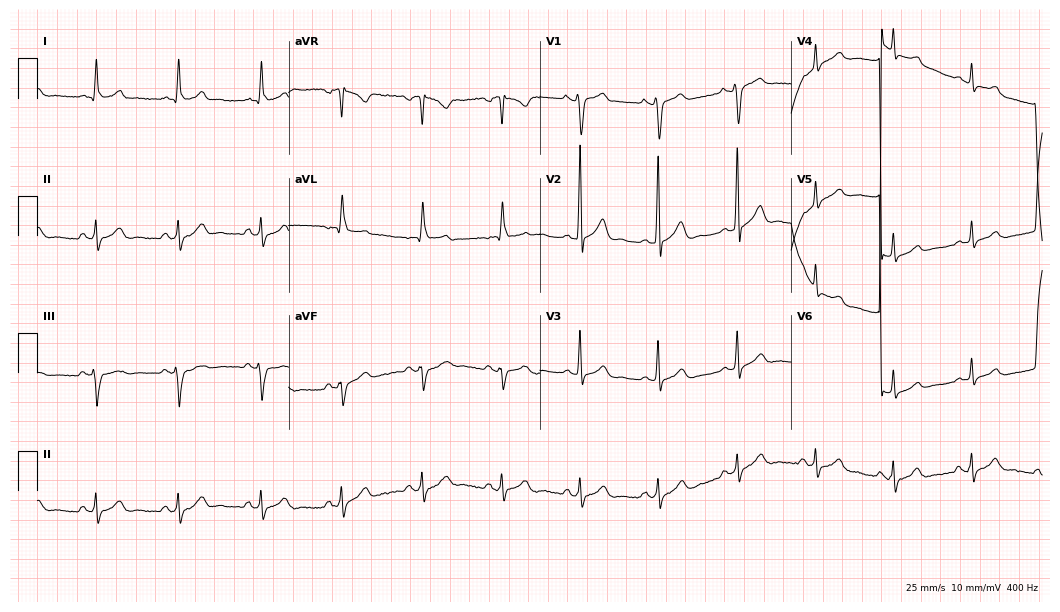
Resting 12-lead electrocardiogram. Patient: a 37-year-old male. Read as a normal ECG.